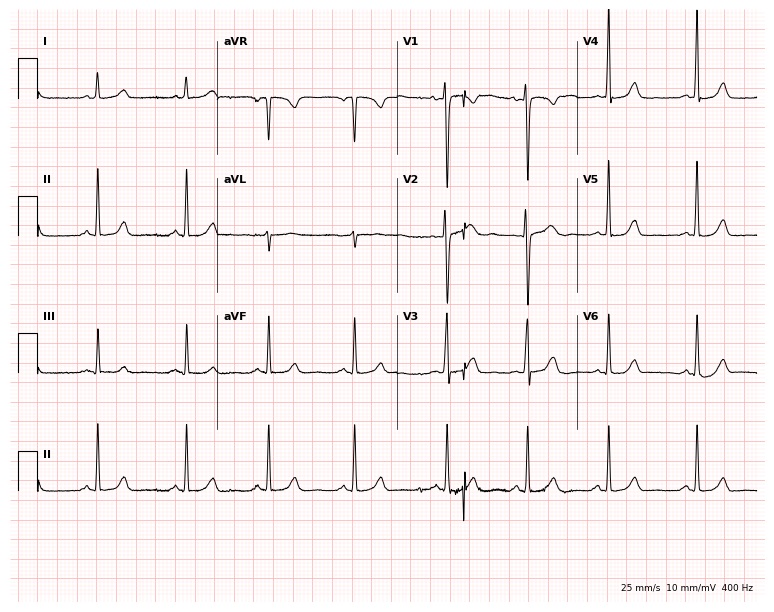
Standard 12-lead ECG recorded from a 41-year-old female (7.3-second recording at 400 Hz). Read as a normal ECG.